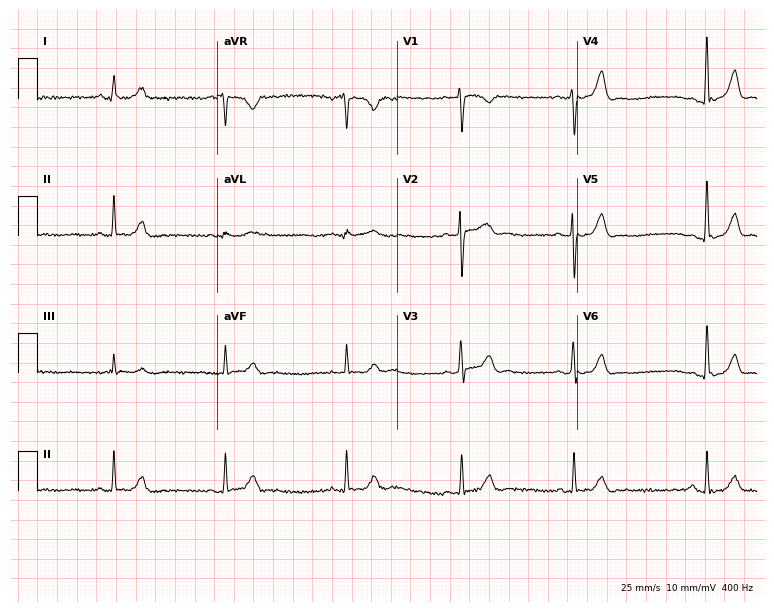
ECG (7.3-second recording at 400 Hz) — a 36-year-old woman. Labelled as a normal ECG.